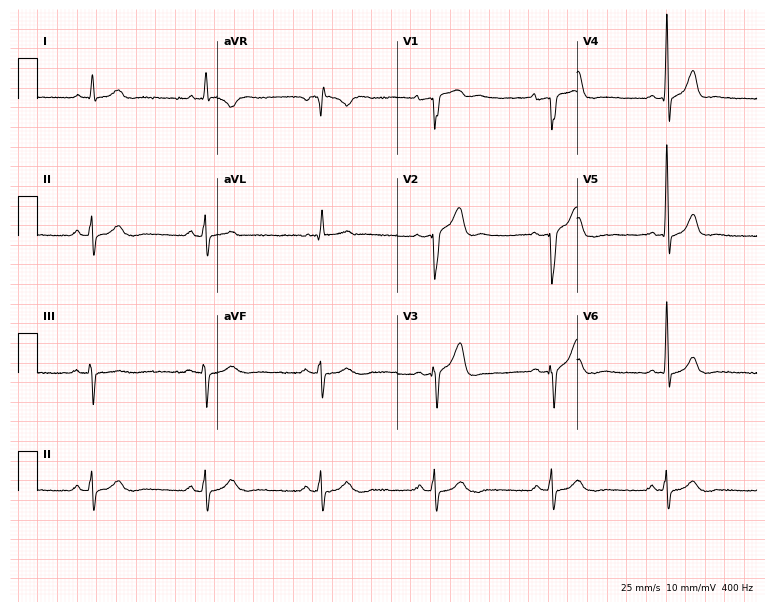
ECG — a male, 51 years old. Labelled as a normal ECG.